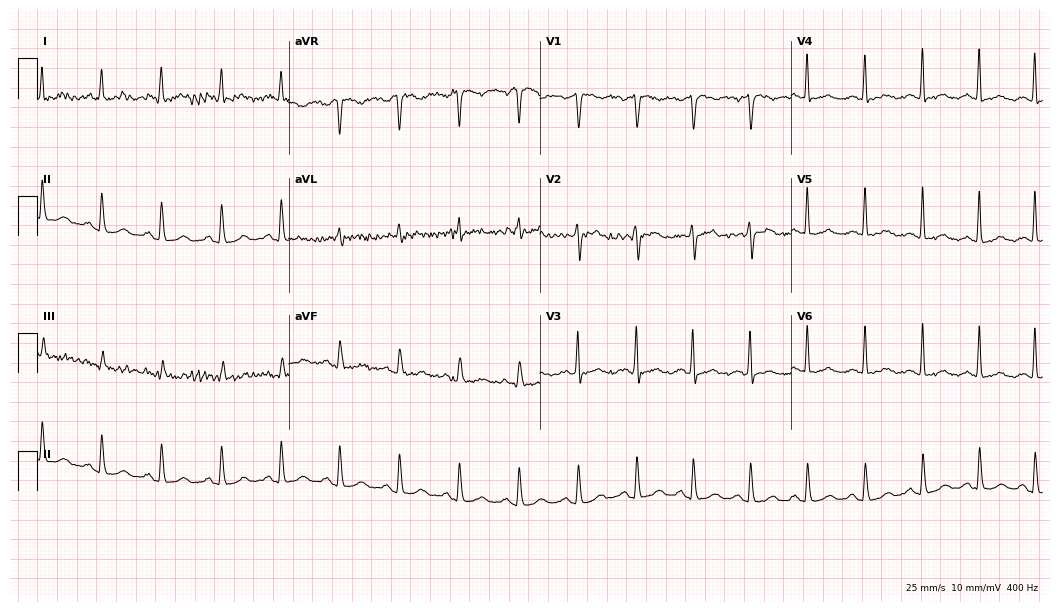
Resting 12-lead electrocardiogram. Patient: a female, 45 years old. The tracing shows sinus tachycardia (a sinus rate of 100 beats per minute or more).